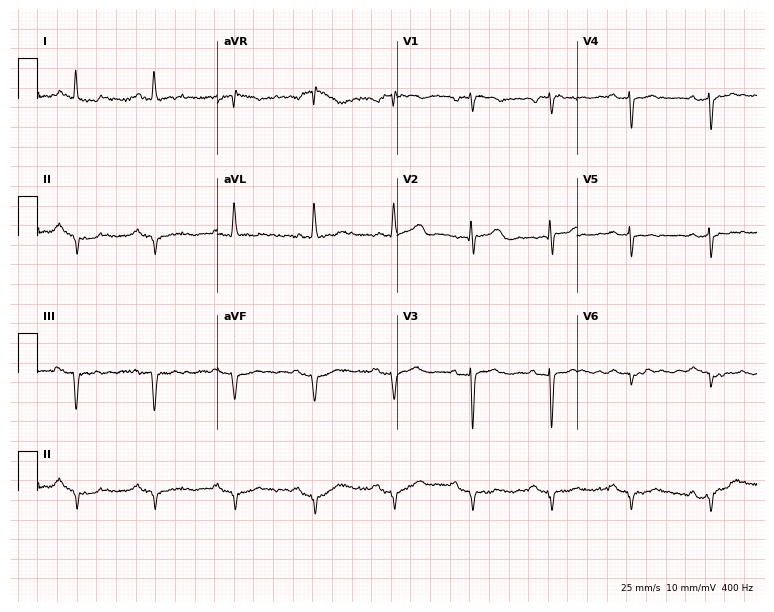
Electrocardiogram (7.3-second recording at 400 Hz), an 81-year-old female patient. Of the six screened findings (first-degree AV block, right bundle branch block, left bundle branch block, sinus bradycardia, atrial fibrillation, sinus tachycardia), none is recorded.